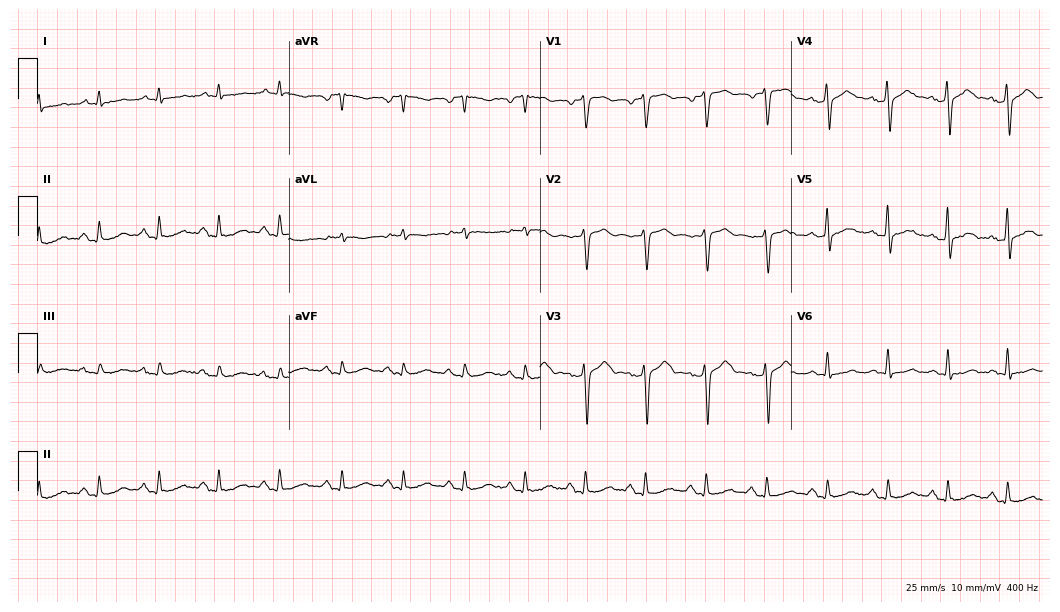
Standard 12-lead ECG recorded from a 43-year-old male. None of these six findings is recorded: first-degree AV block, right bundle branch block, left bundle branch block, sinus bradycardia, atrial fibrillation, sinus tachycardia.